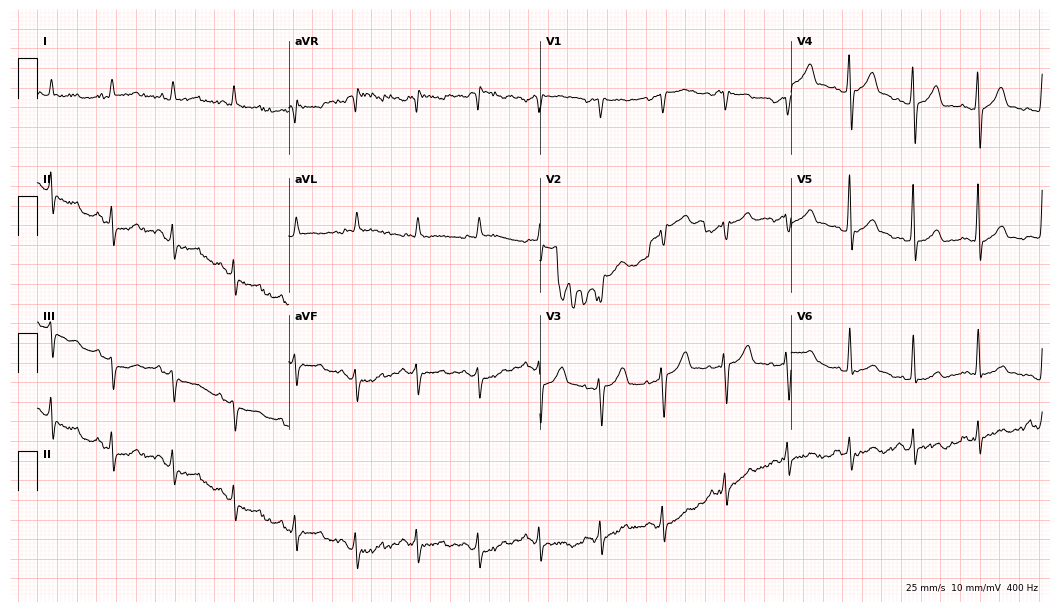
Resting 12-lead electrocardiogram (10.2-second recording at 400 Hz). Patient: a male, 73 years old. None of these six findings is recorded: first-degree AV block, right bundle branch block, left bundle branch block, sinus bradycardia, atrial fibrillation, sinus tachycardia.